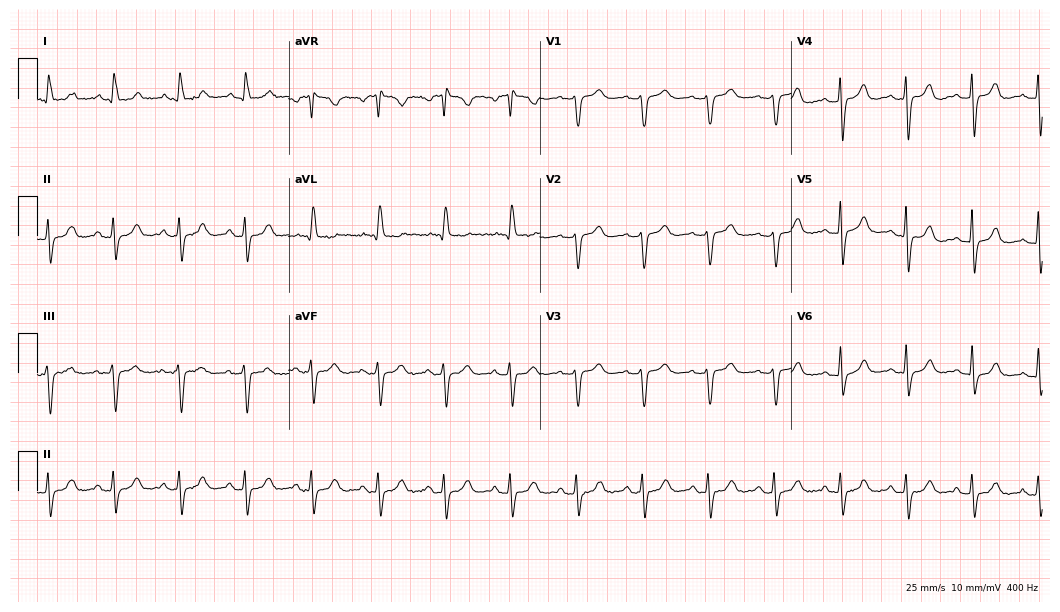
12-lead ECG from a female, 72 years old. Recorded interpretation: within normal limits.